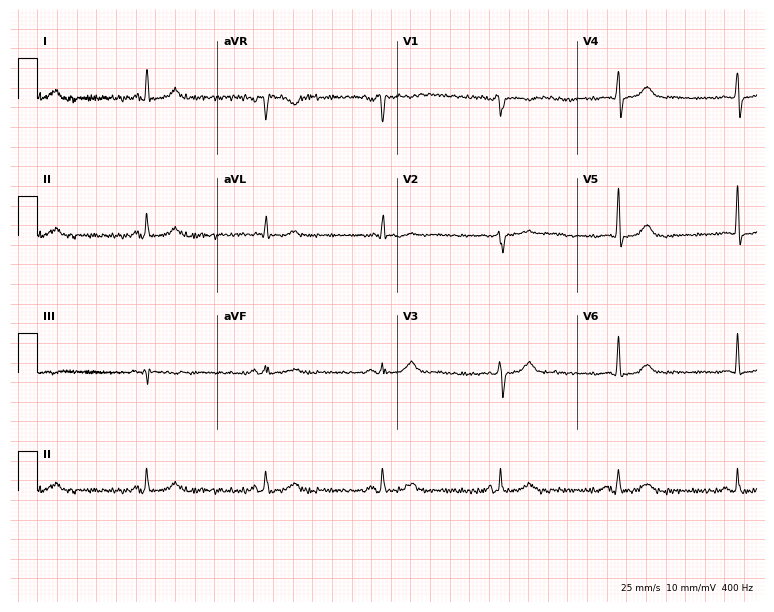
Standard 12-lead ECG recorded from a 64-year-old woman (7.3-second recording at 400 Hz). The tracing shows sinus bradycardia (a sinus rate of 50 beats per minute or less).